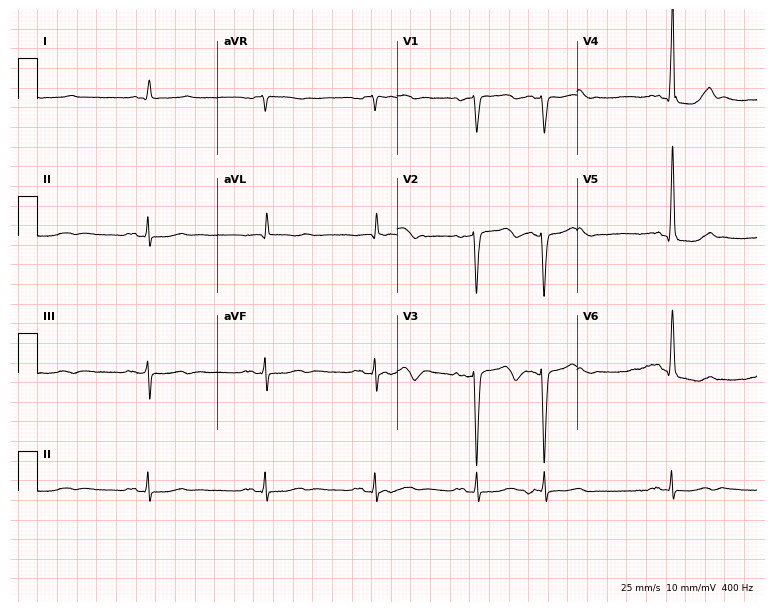
Electrocardiogram, an 81-year-old male patient. Interpretation includes atrial fibrillation.